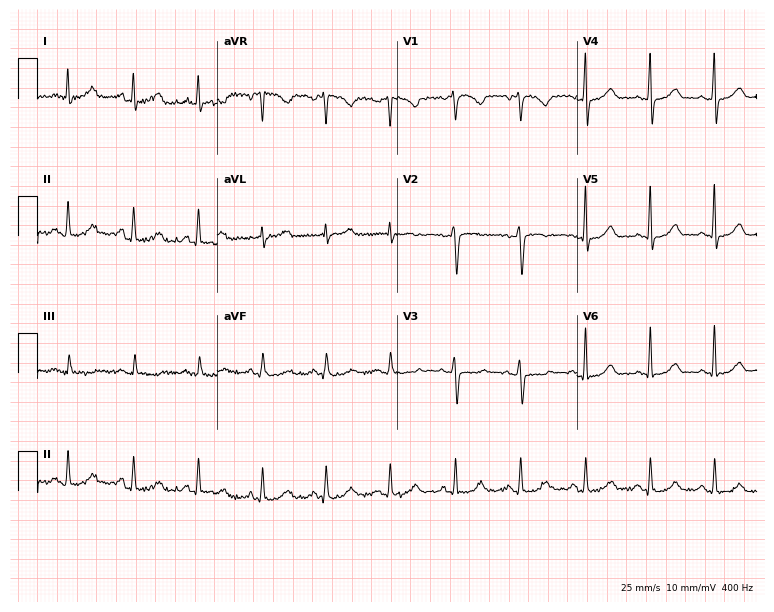
Resting 12-lead electrocardiogram (7.3-second recording at 400 Hz). Patient: a 43-year-old female. Read as a normal ECG.